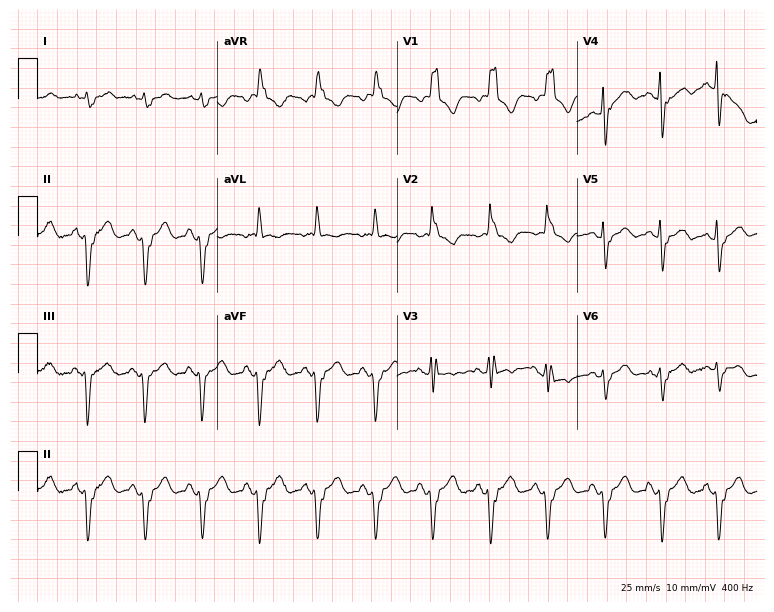
Resting 12-lead electrocardiogram. Patient: an 86-year-old woman. The tracing shows right bundle branch block, sinus tachycardia (a sinus rate of 100 beats per minute or more).